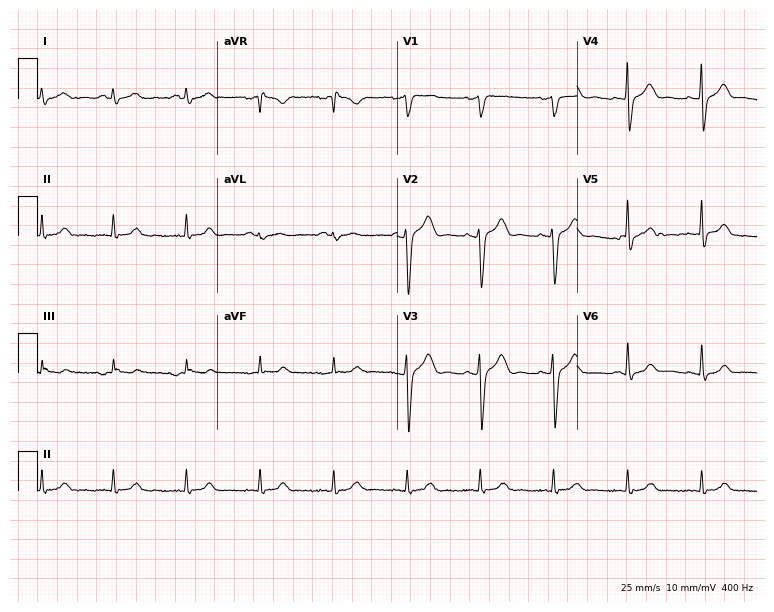
Standard 12-lead ECG recorded from a man, 48 years old (7.3-second recording at 400 Hz). None of these six findings is recorded: first-degree AV block, right bundle branch block (RBBB), left bundle branch block (LBBB), sinus bradycardia, atrial fibrillation (AF), sinus tachycardia.